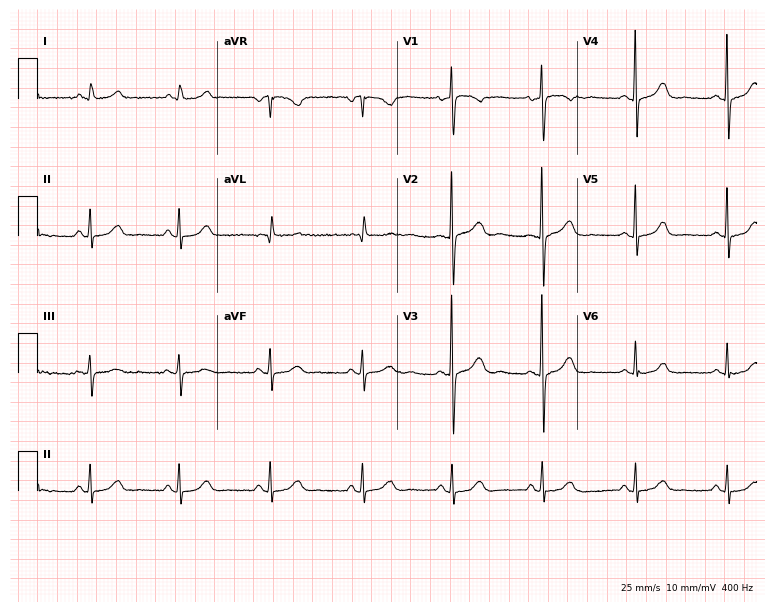
12-lead ECG from a female, 85 years old (7.3-second recording at 400 Hz). Recorded interpretation: within normal limits.